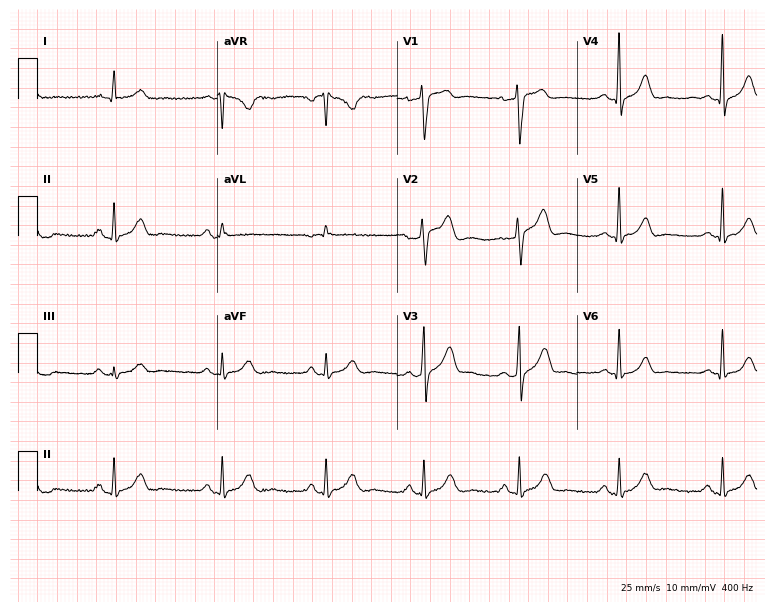
ECG (7.3-second recording at 400 Hz) — a man, 36 years old. Screened for six findings — first-degree AV block, right bundle branch block, left bundle branch block, sinus bradycardia, atrial fibrillation, sinus tachycardia — none is recorded. Findings outside these six are not listed.